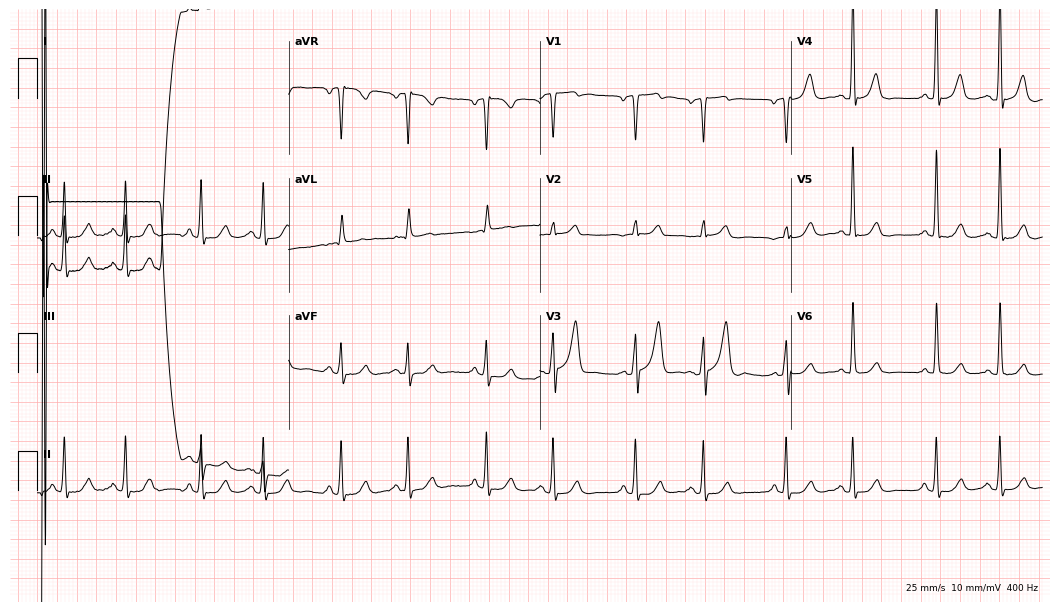
12-lead ECG from an 80-year-old male. No first-degree AV block, right bundle branch block, left bundle branch block, sinus bradycardia, atrial fibrillation or sinus tachycardia recorded for this tracing. Only these six findings were labelled.